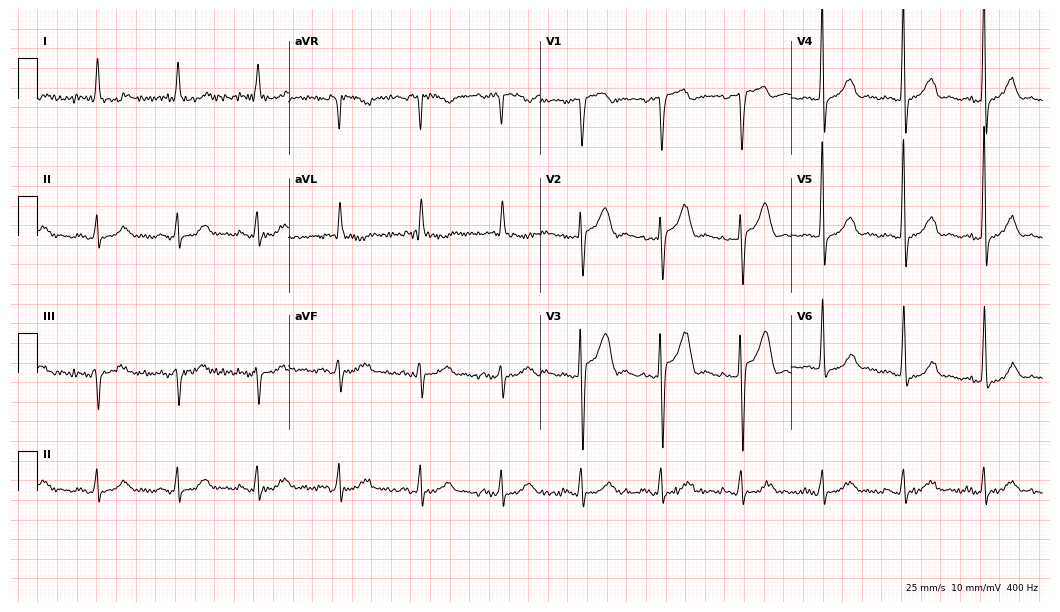
12-lead ECG (10.2-second recording at 400 Hz) from a 52-year-old male patient. Screened for six findings — first-degree AV block, right bundle branch block, left bundle branch block, sinus bradycardia, atrial fibrillation, sinus tachycardia — none is recorded.